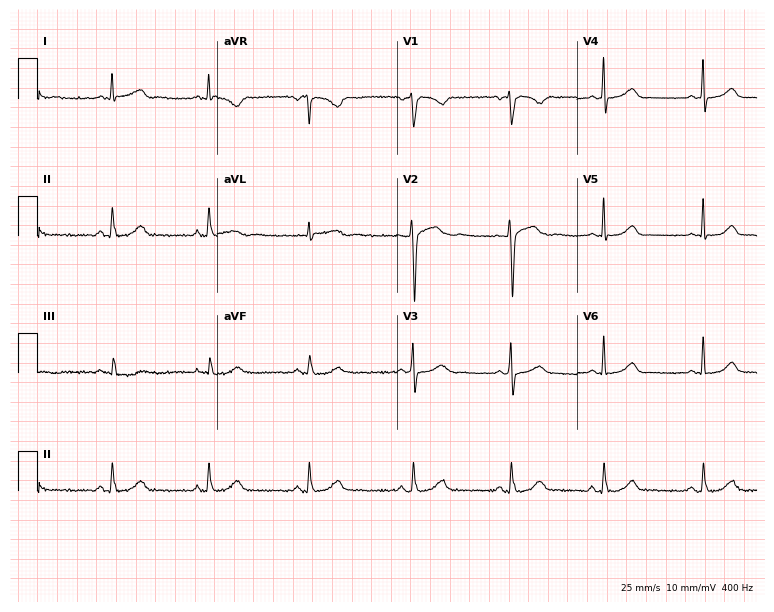
Resting 12-lead electrocardiogram. Patient: a 48-year-old female. Read as a normal ECG.